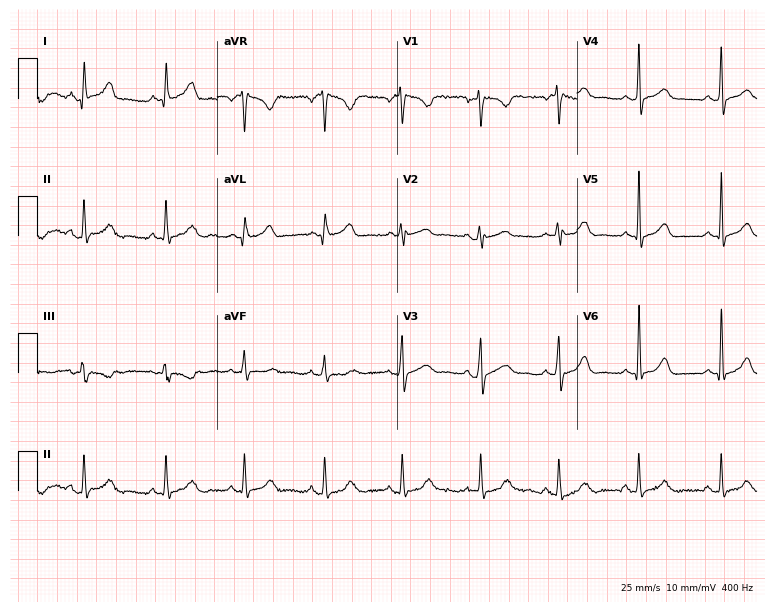
Standard 12-lead ECG recorded from an 18-year-old woman (7.3-second recording at 400 Hz). Read as a normal ECG.